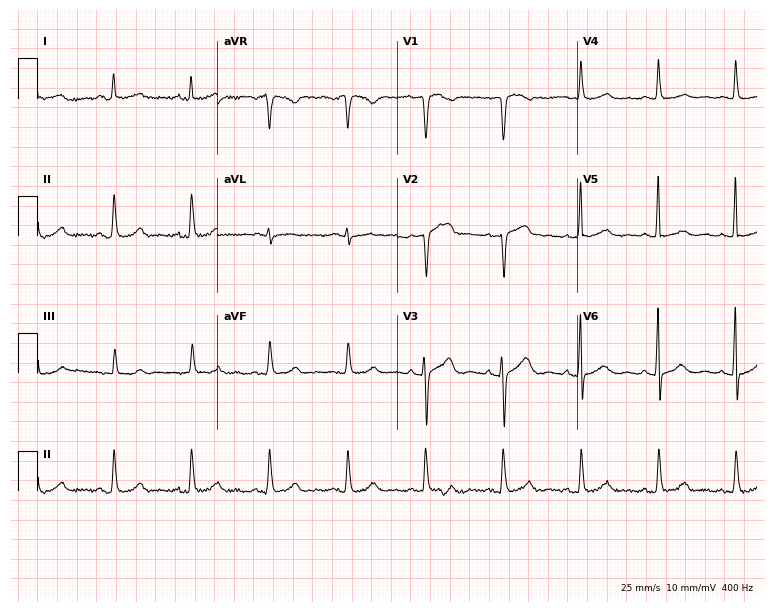
Resting 12-lead electrocardiogram (7.3-second recording at 400 Hz). Patient: a 71-year-old male. Read as a normal ECG.